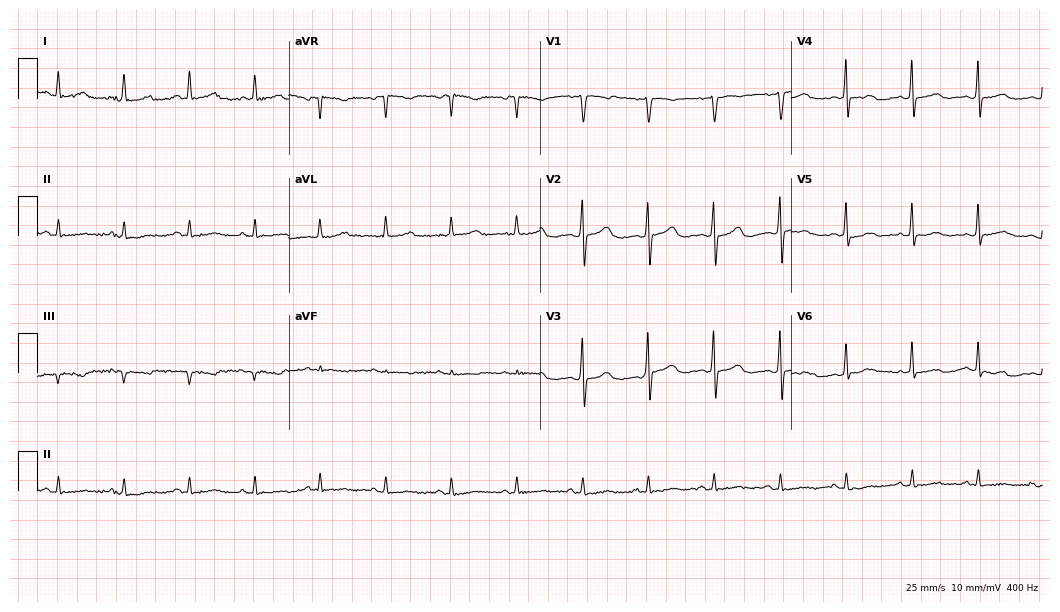
Resting 12-lead electrocardiogram (10.2-second recording at 400 Hz). Patient: a female, 55 years old. Read as a normal ECG.